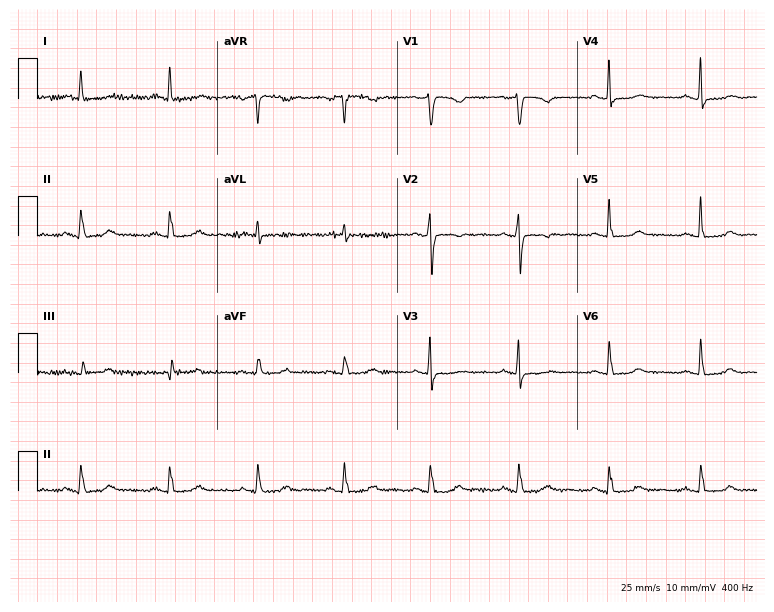
Resting 12-lead electrocardiogram. Patient: a female, 59 years old. None of these six findings is recorded: first-degree AV block, right bundle branch block, left bundle branch block, sinus bradycardia, atrial fibrillation, sinus tachycardia. Other findings, if any, are not listed.